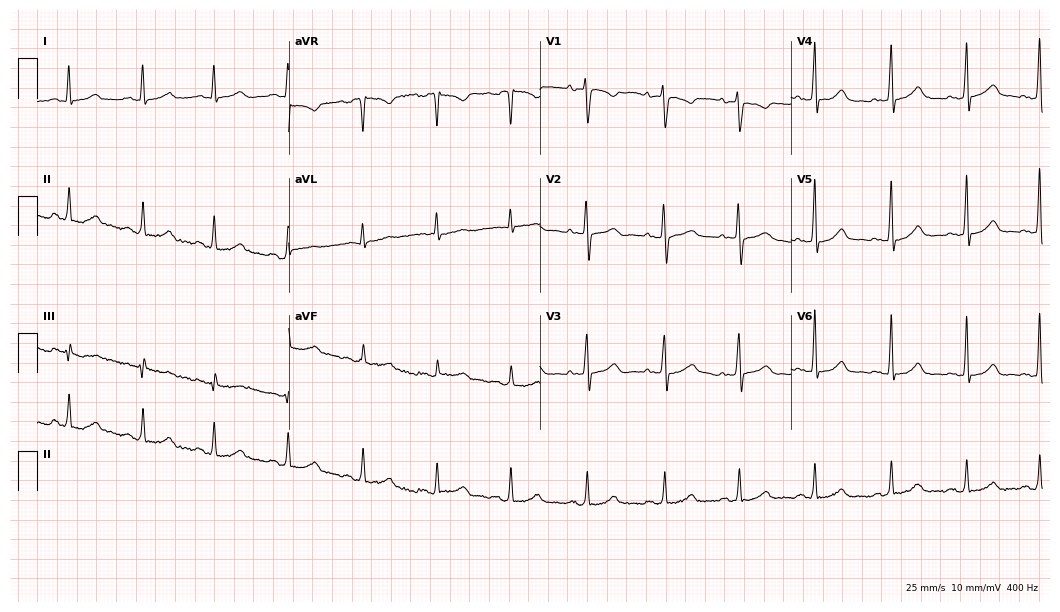
Resting 12-lead electrocardiogram (10.2-second recording at 400 Hz). Patient: a 42-year-old female. Read as a normal ECG.